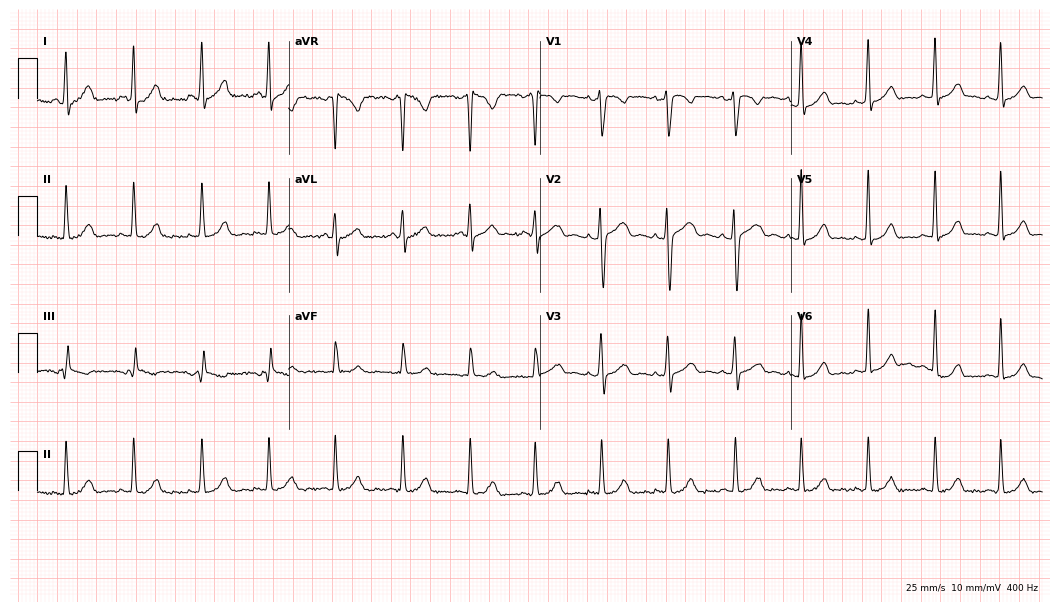
12-lead ECG from a woman, 34 years old. Screened for six findings — first-degree AV block, right bundle branch block, left bundle branch block, sinus bradycardia, atrial fibrillation, sinus tachycardia — none is recorded. Only these six findings were labelled.